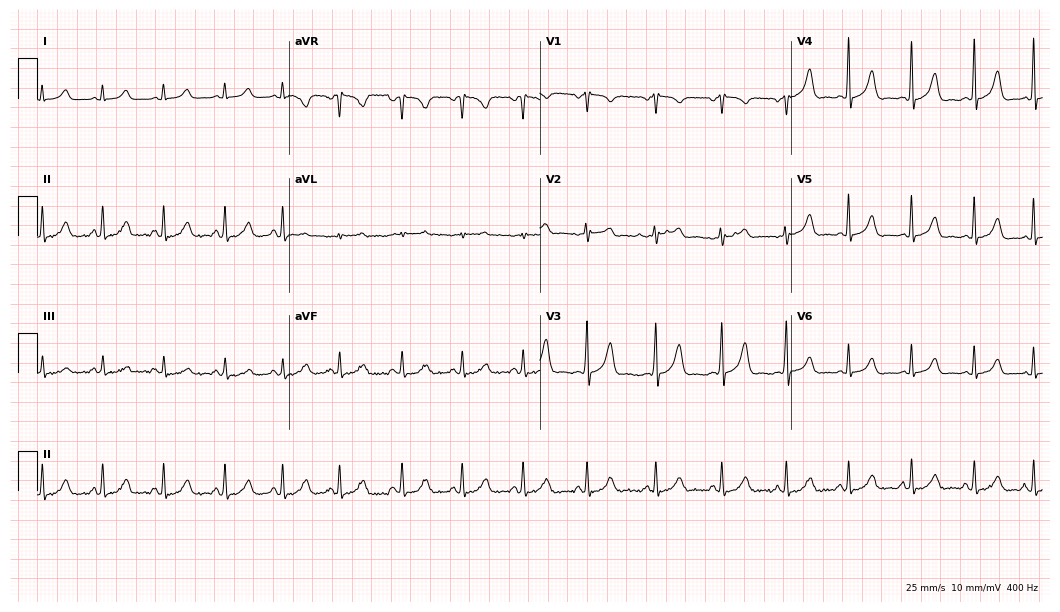
12-lead ECG from a 22-year-old woman (10.2-second recording at 400 Hz). Recorded interpretation: within normal limits.